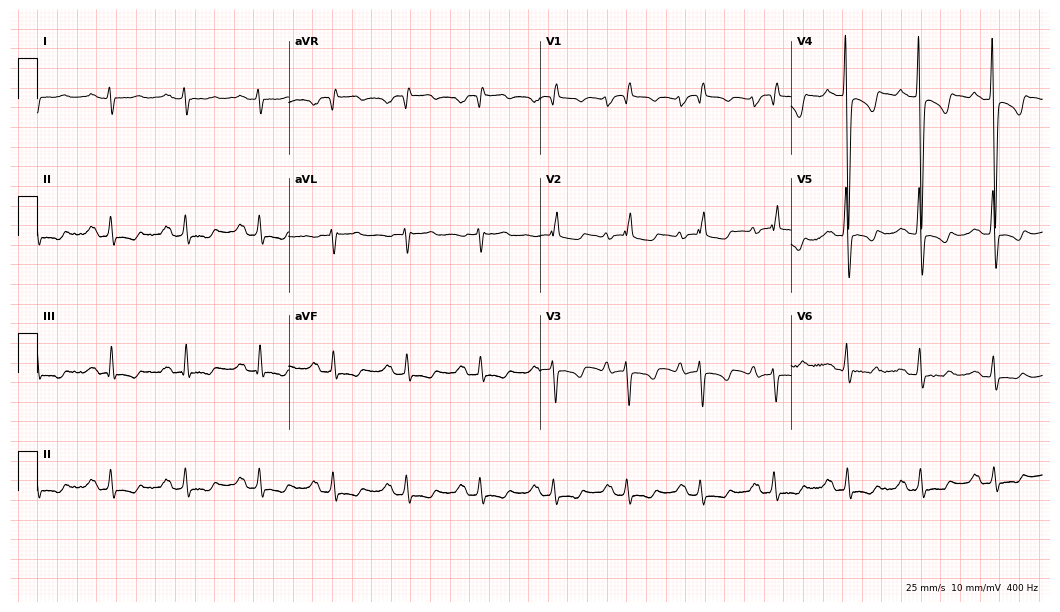
Electrocardiogram, a man, 58 years old. Of the six screened findings (first-degree AV block, right bundle branch block, left bundle branch block, sinus bradycardia, atrial fibrillation, sinus tachycardia), none is recorded. Other findings, if any, are not listed.